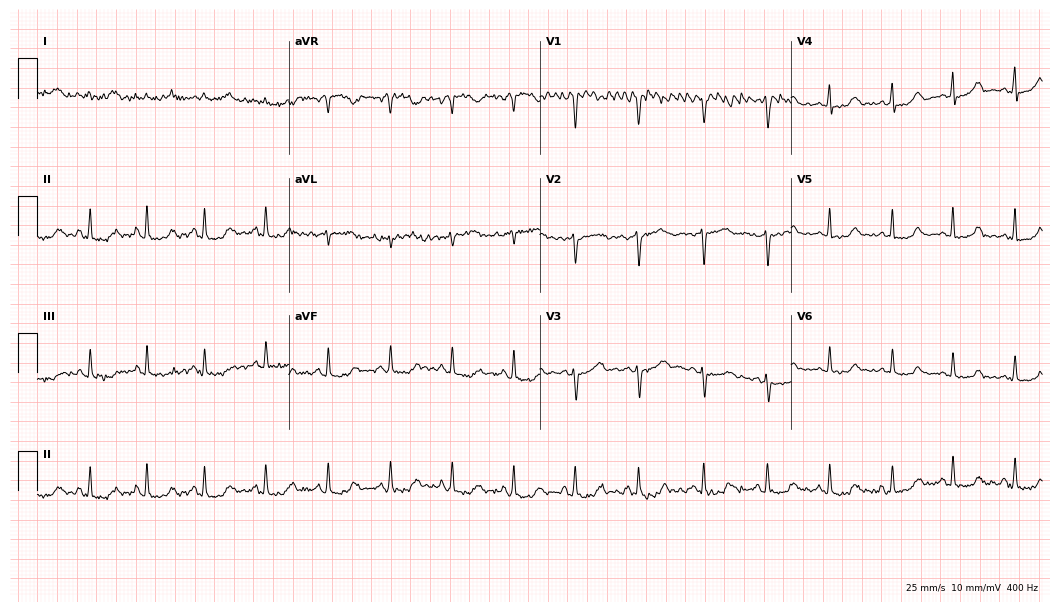
ECG — a 43-year-old female. Screened for six findings — first-degree AV block, right bundle branch block (RBBB), left bundle branch block (LBBB), sinus bradycardia, atrial fibrillation (AF), sinus tachycardia — none is recorded.